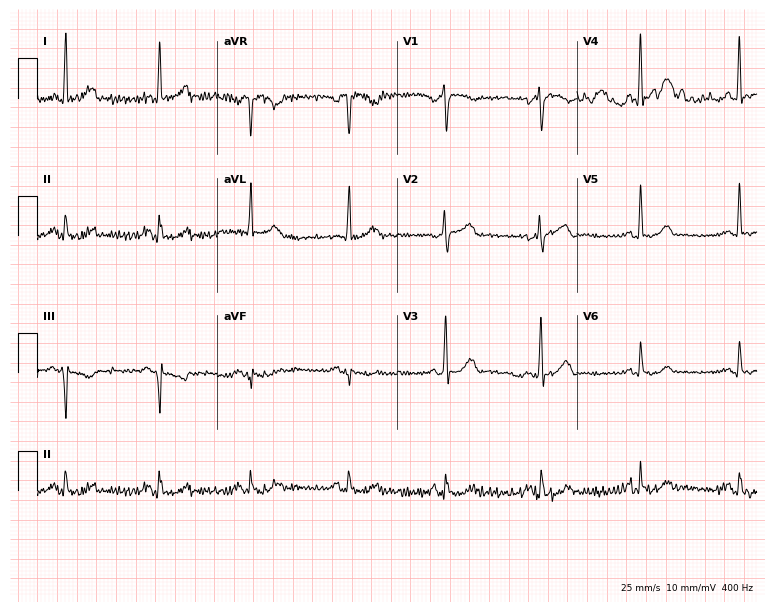
ECG — a 55-year-old woman. Labelled as a normal ECG.